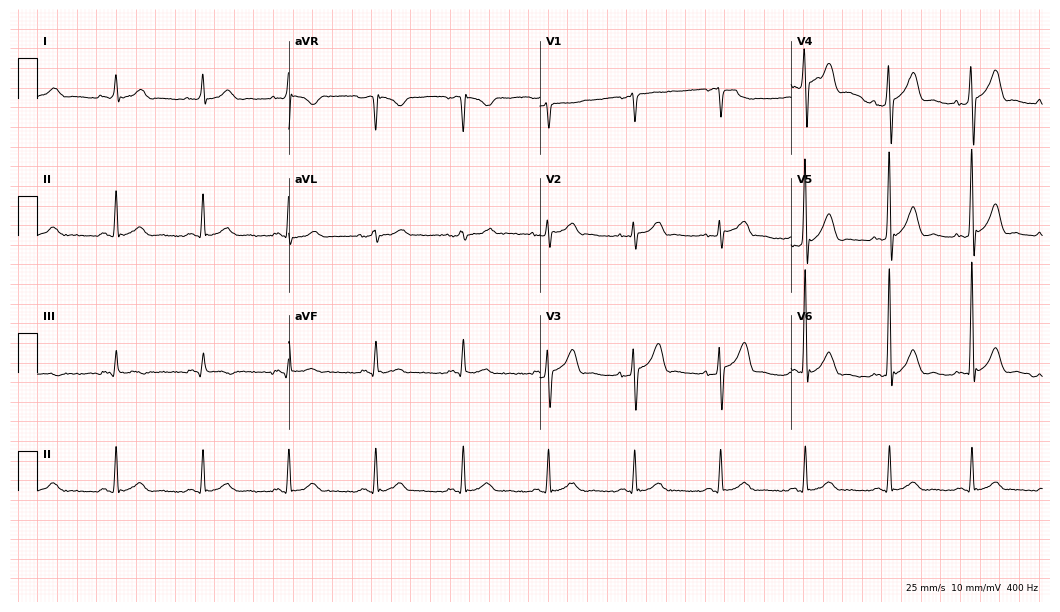
ECG — a male patient, 73 years old. Labelled as a normal ECG.